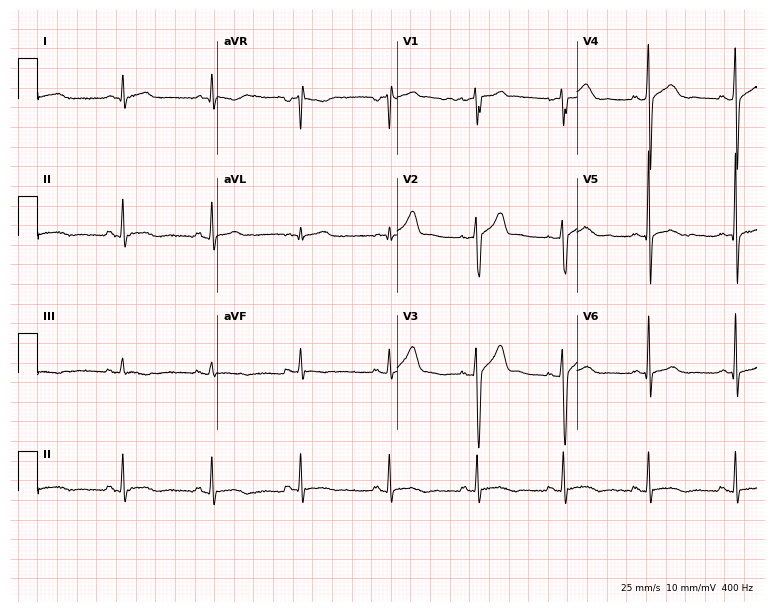
Standard 12-lead ECG recorded from a 49-year-old man (7.3-second recording at 400 Hz). None of these six findings is recorded: first-degree AV block, right bundle branch block, left bundle branch block, sinus bradycardia, atrial fibrillation, sinus tachycardia. Findings outside these six are not listed.